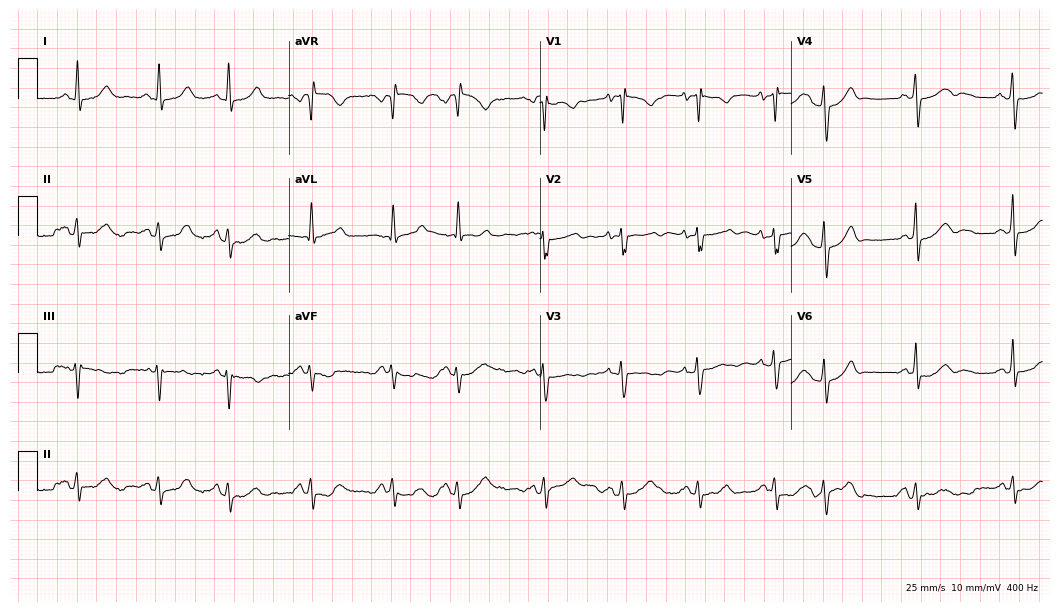
12-lead ECG (10.2-second recording at 400 Hz) from a 40-year-old female. Labelled as a normal ECG.